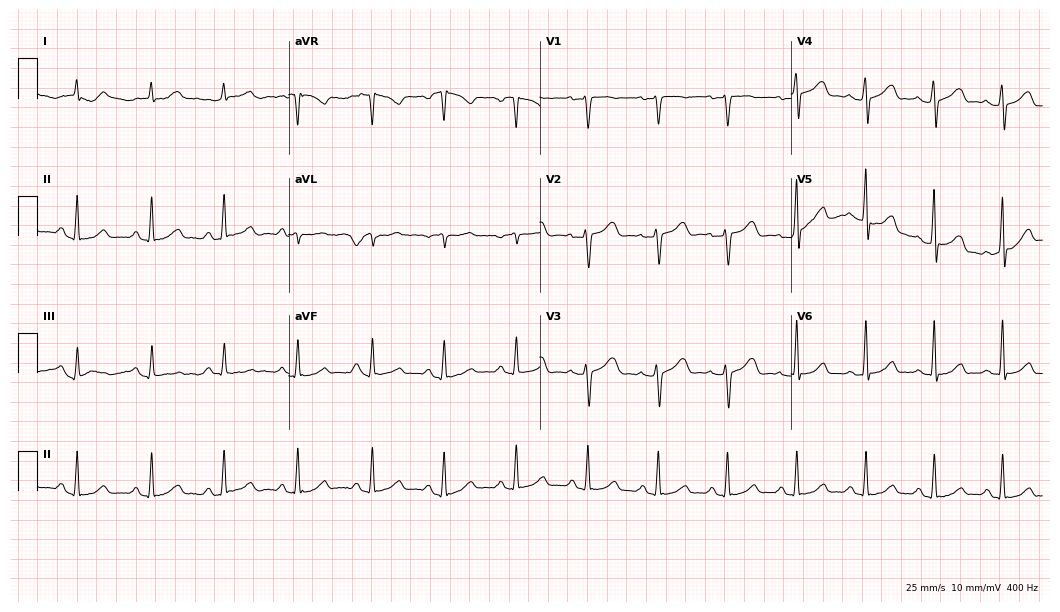
12-lead ECG (10.2-second recording at 400 Hz) from a female patient, 47 years old. Labelled as a normal ECG.